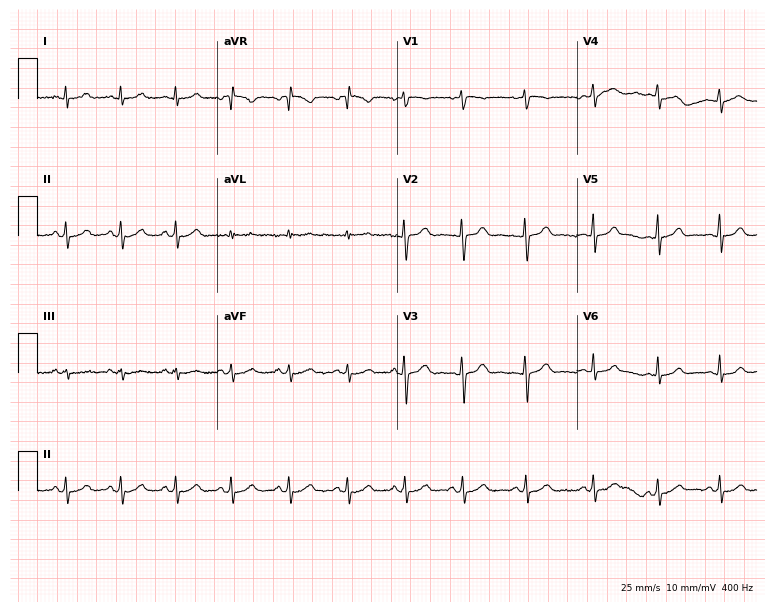
Electrocardiogram, a female, 20 years old. Of the six screened findings (first-degree AV block, right bundle branch block (RBBB), left bundle branch block (LBBB), sinus bradycardia, atrial fibrillation (AF), sinus tachycardia), none is recorded.